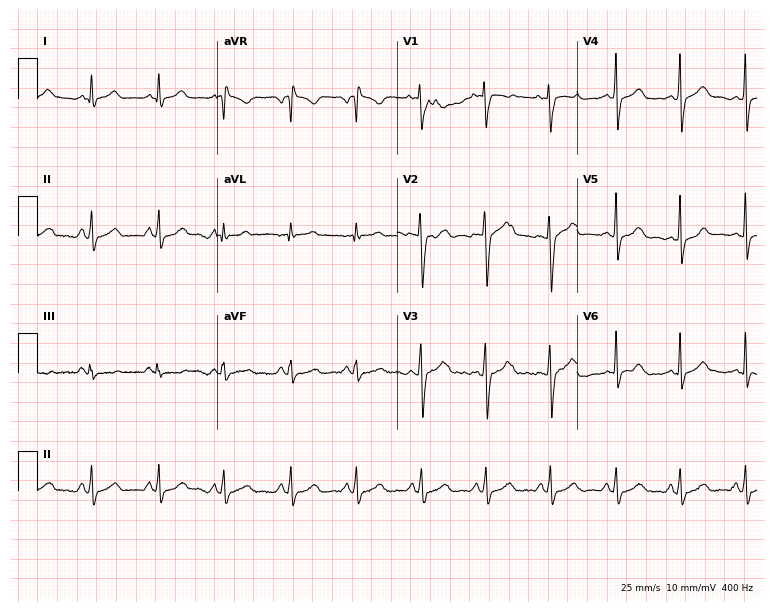
12-lead ECG from a 28-year-old female patient (7.3-second recording at 400 Hz). No first-degree AV block, right bundle branch block, left bundle branch block, sinus bradycardia, atrial fibrillation or sinus tachycardia recorded for this tracing. Findings outside these six are not listed.